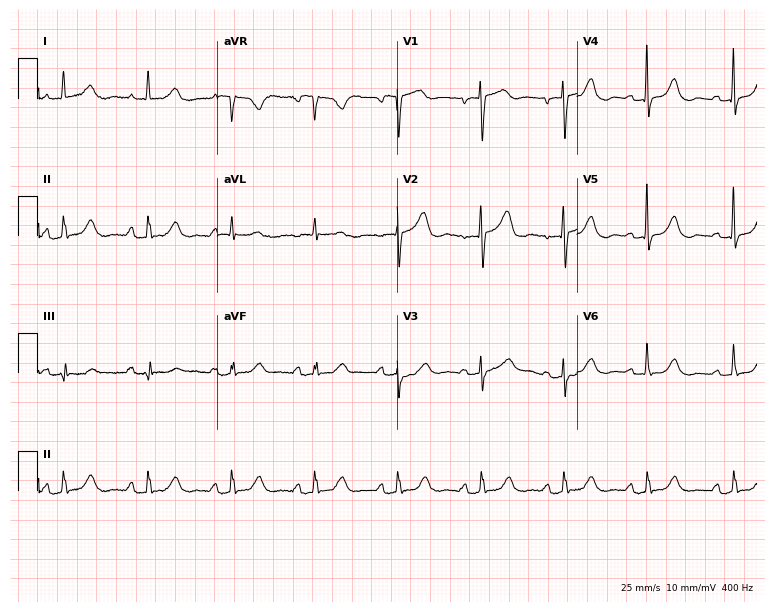
Electrocardiogram (7.3-second recording at 400 Hz), a woman, 84 years old. Of the six screened findings (first-degree AV block, right bundle branch block, left bundle branch block, sinus bradycardia, atrial fibrillation, sinus tachycardia), none is recorded. Only these six findings were labelled.